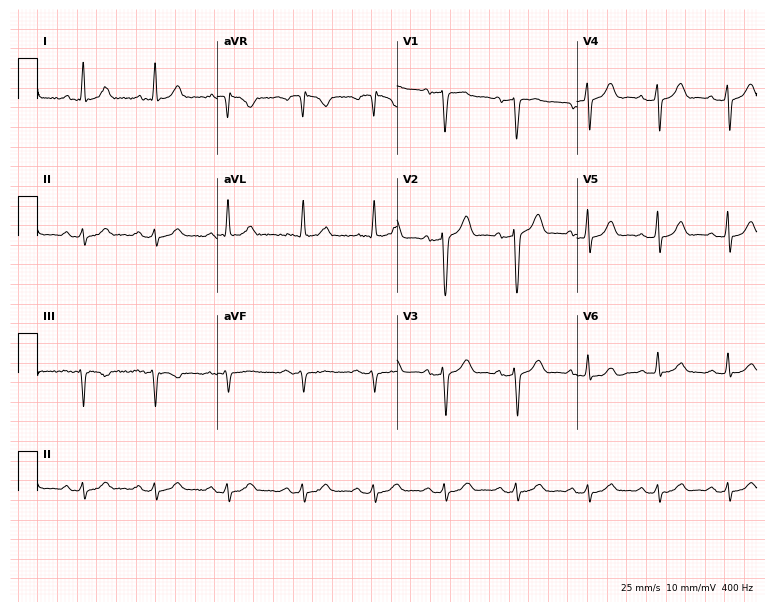
Standard 12-lead ECG recorded from a male patient, 73 years old (7.3-second recording at 400 Hz). None of these six findings is recorded: first-degree AV block, right bundle branch block, left bundle branch block, sinus bradycardia, atrial fibrillation, sinus tachycardia. Other findings, if any, are not listed.